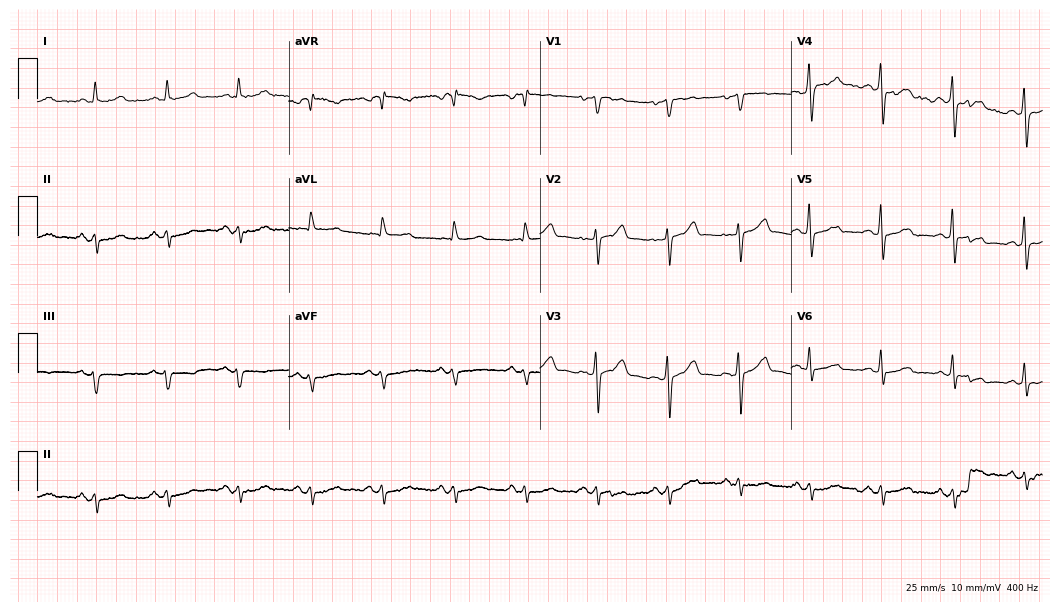
Standard 12-lead ECG recorded from a 70-year-old male patient (10.2-second recording at 400 Hz). None of these six findings is recorded: first-degree AV block, right bundle branch block (RBBB), left bundle branch block (LBBB), sinus bradycardia, atrial fibrillation (AF), sinus tachycardia. Other findings, if any, are not listed.